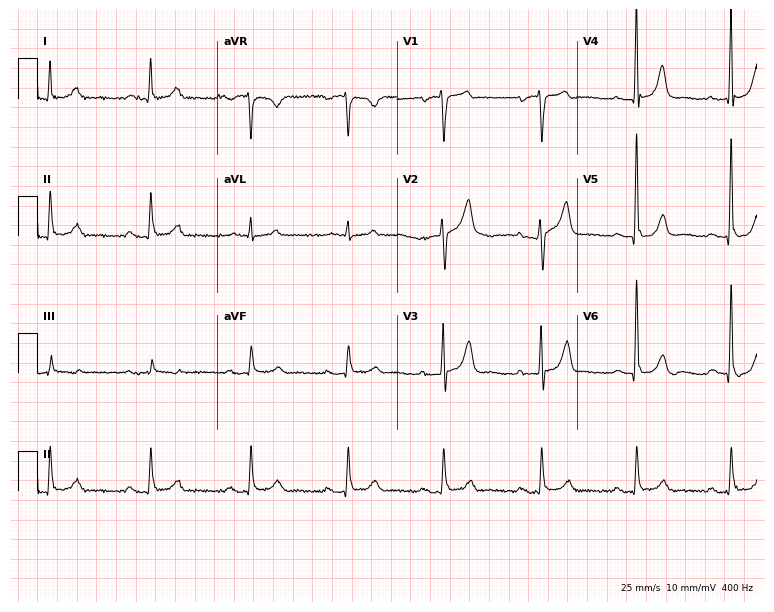
12-lead ECG (7.3-second recording at 400 Hz) from a male, 74 years old. Labelled as a normal ECG.